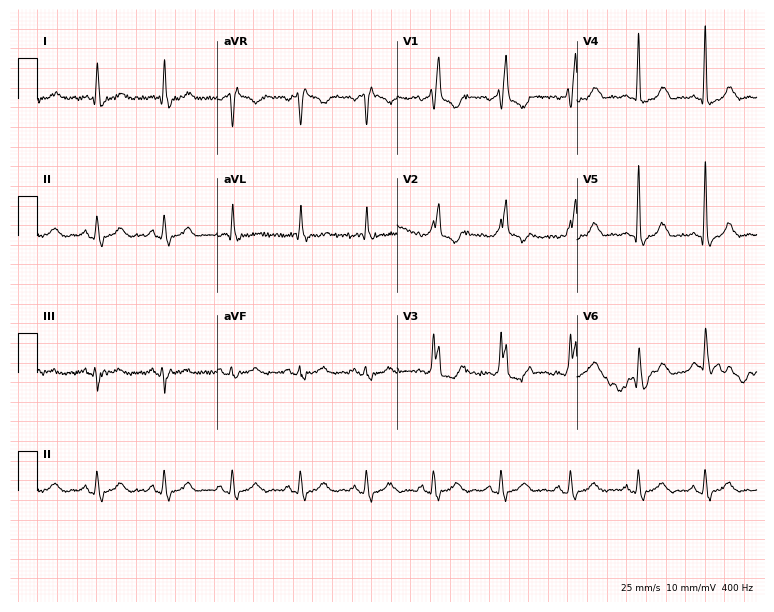
Electrocardiogram, an 81-year-old woman. Interpretation includes right bundle branch block (RBBB).